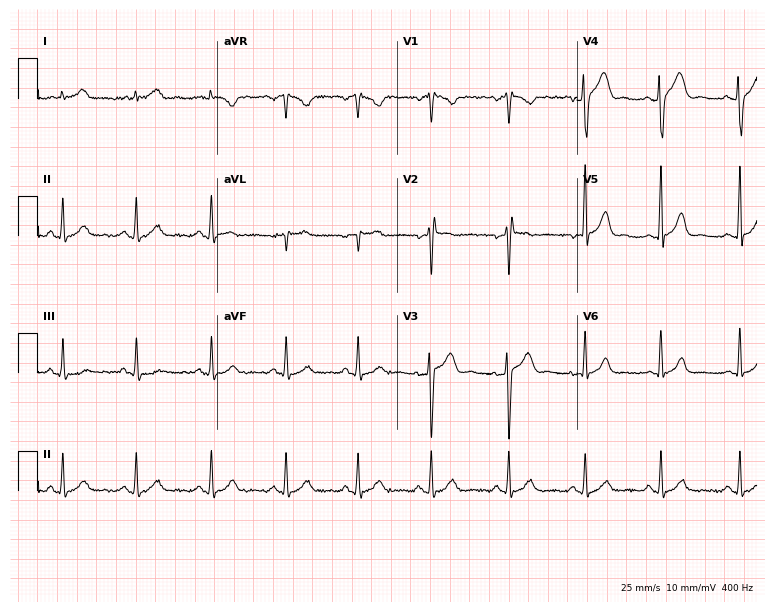
ECG — a 32-year-old male patient. Screened for six findings — first-degree AV block, right bundle branch block (RBBB), left bundle branch block (LBBB), sinus bradycardia, atrial fibrillation (AF), sinus tachycardia — none is recorded. Findings outside these six are not listed.